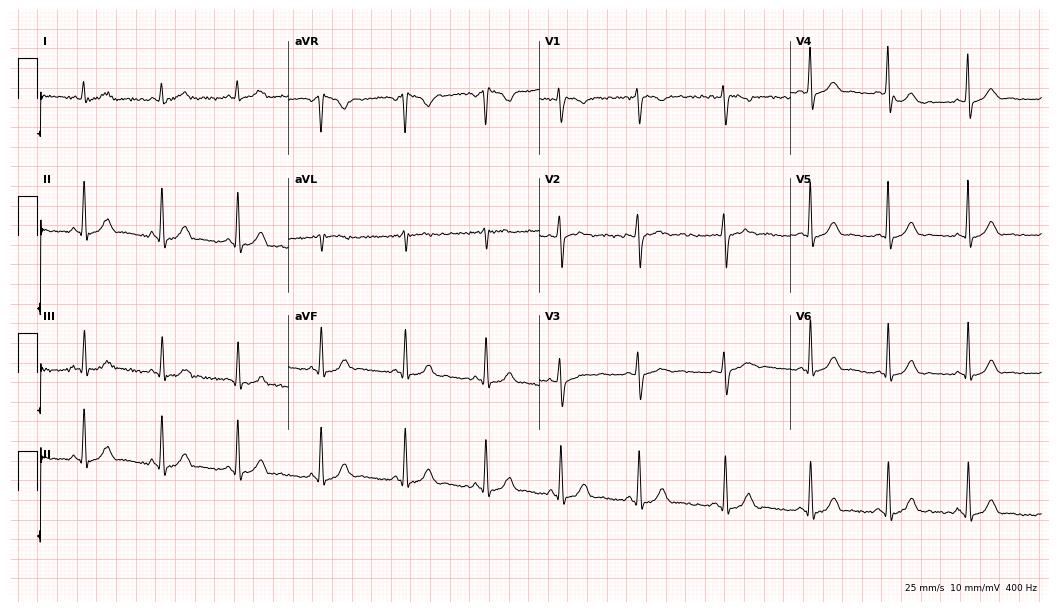
12-lead ECG from a female patient, 31 years old. Screened for six findings — first-degree AV block, right bundle branch block, left bundle branch block, sinus bradycardia, atrial fibrillation, sinus tachycardia — none is recorded. Only these six findings were labelled.